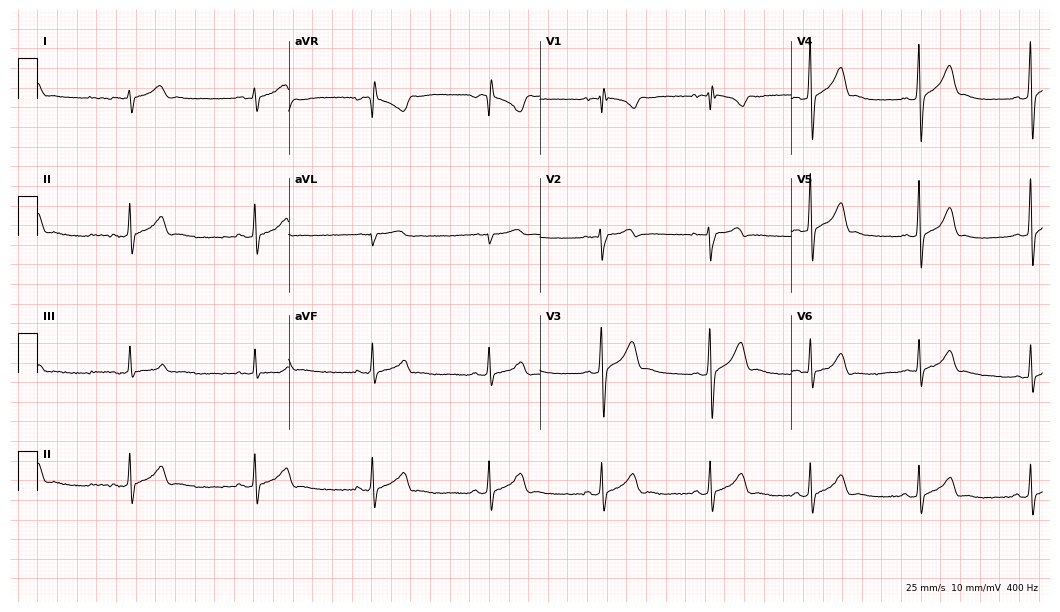
Resting 12-lead electrocardiogram. Patient: a 20-year-old man. Read as a normal ECG.